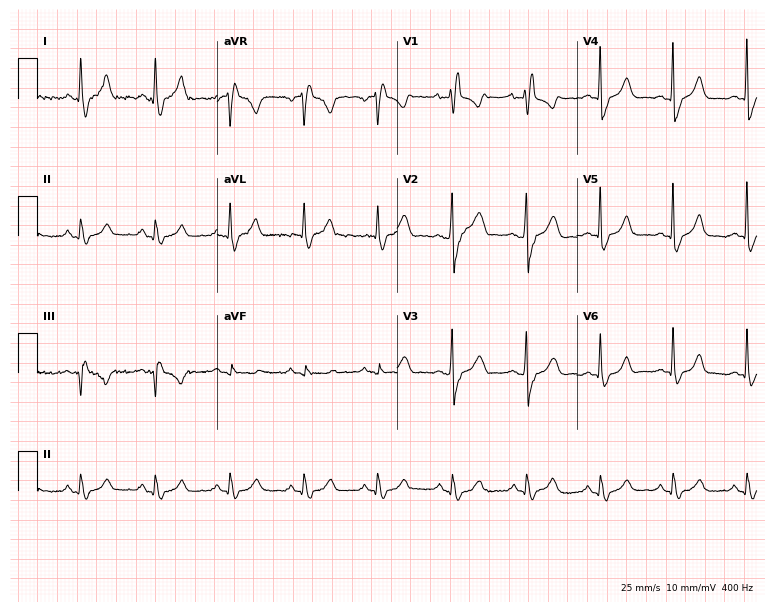
Standard 12-lead ECG recorded from a female, 65 years old. The tracing shows right bundle branch block.